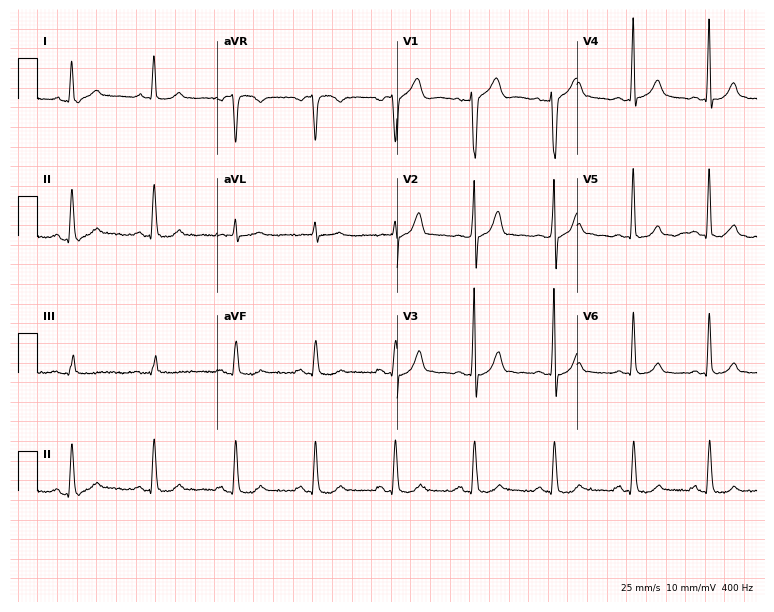
12-lead ECG from a woman, 60 years old. Recorded interpretation: within normal limits.